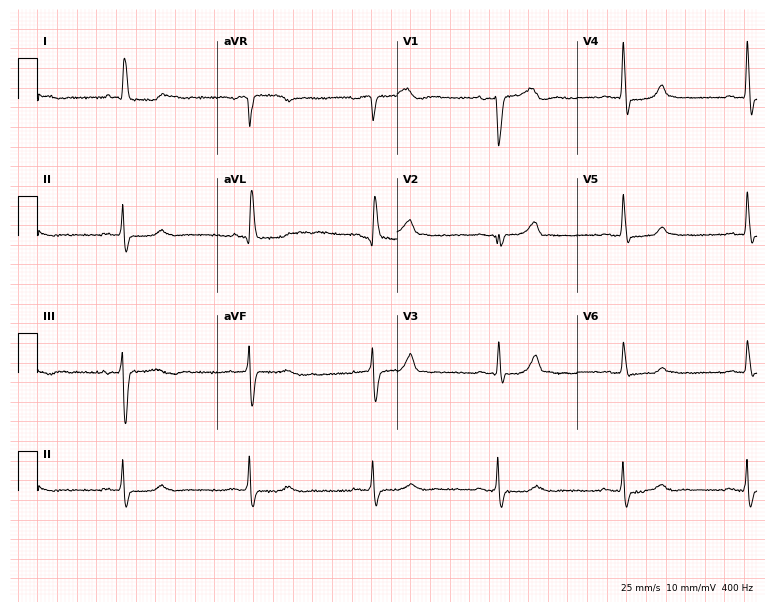
Standard 12-lead ECG recorded from a female patient, 73 years old (7.3-second recording at 400 Hz). The tracing shows sinus bradycardia (a sinus rate of 50 beats per minute or less).